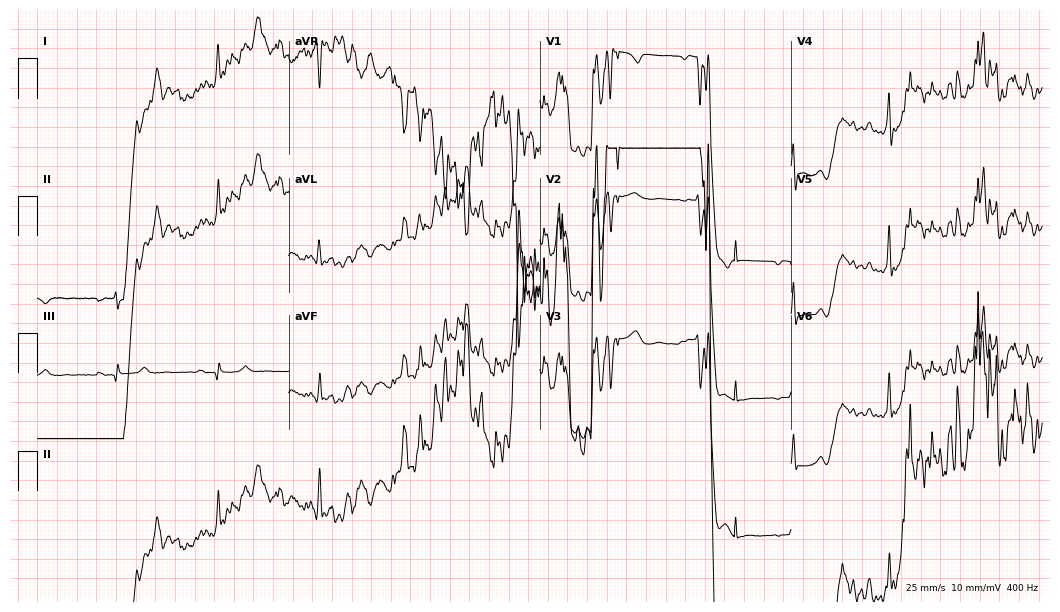
12-lead ECG (10.2-second recording at 400 Hz) from a woman, 48 years old. Screened for six findings — first-degree AV block, right bundle branch block, left bundle branch block, sinus bradycardia, atrial fibrillation, sinus tachycardia — none is recorded.